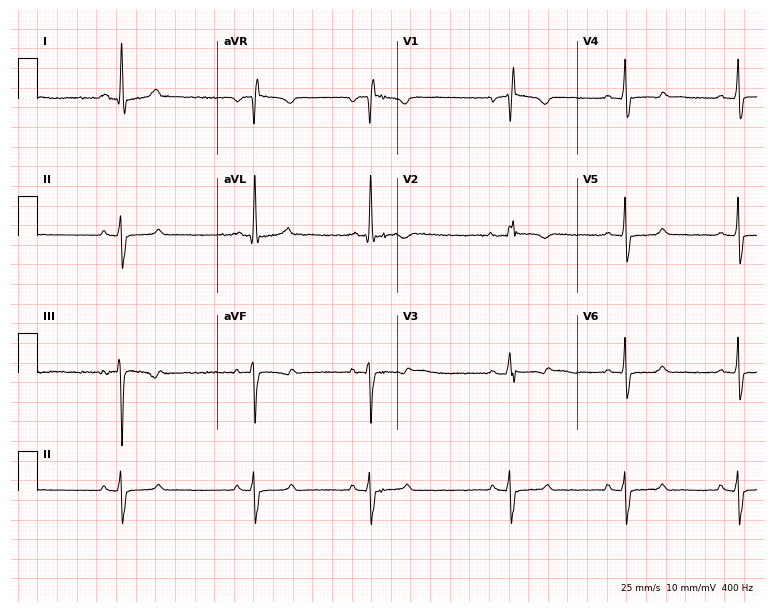
Standard 12-lead ECG recorded from a female patient, 19 years old (7.3-second recording at 400 Hz). The tracing shows sinus bradycardia (a sinus rate of 50 beats per minute or less).